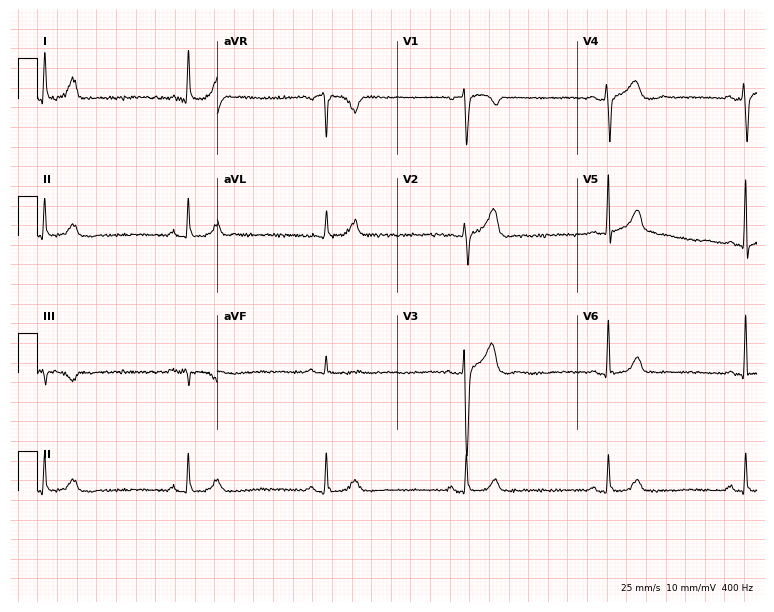
12-lead ECG from a 64-year-old man. Shows sinus bradycardia (a sinus rate of 50 beats per minute or less).